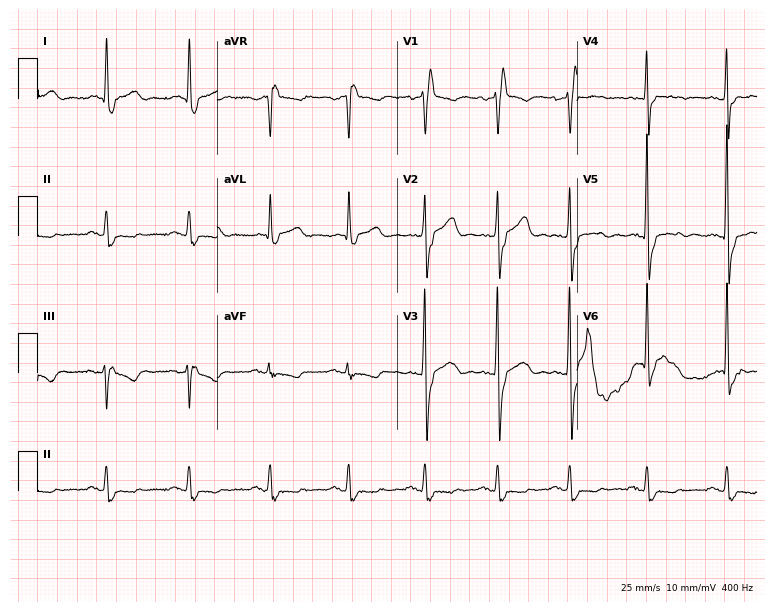
Electrocardiogram (7.3-second recording at 400 Hz), a 64-year-old male patient. Interpretation includes right bundle branch block.